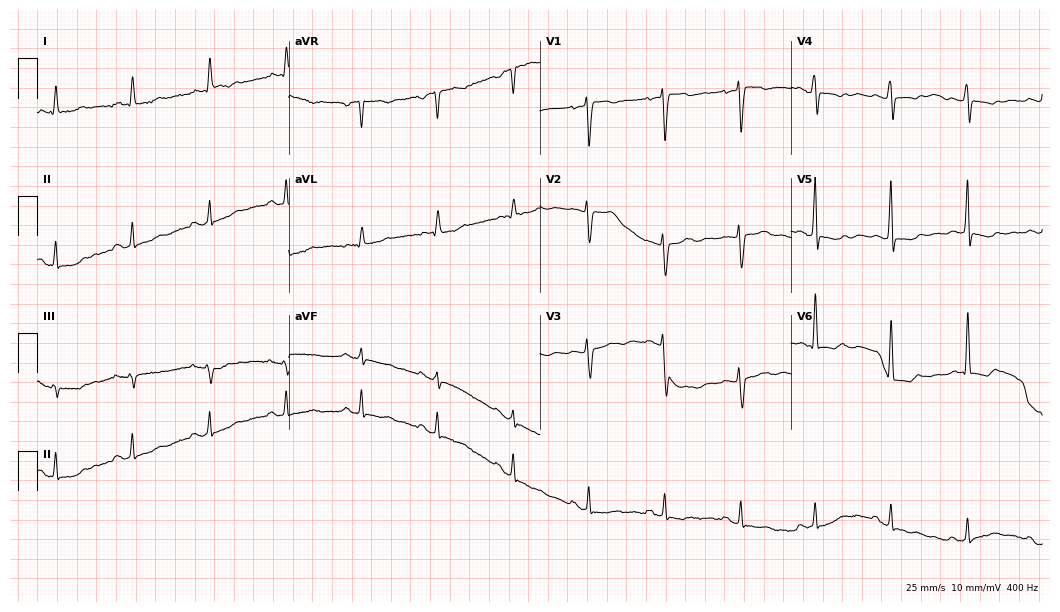
12-lead ECG (10.2-second recording at 400 Hz) from a 63-year-old female. Screened for six findings — first-degree AV block, right bundle branch block, left bundle branch block, sinus bradycardia, atrial fibrillation, sinus tachycardia — none is recorded.